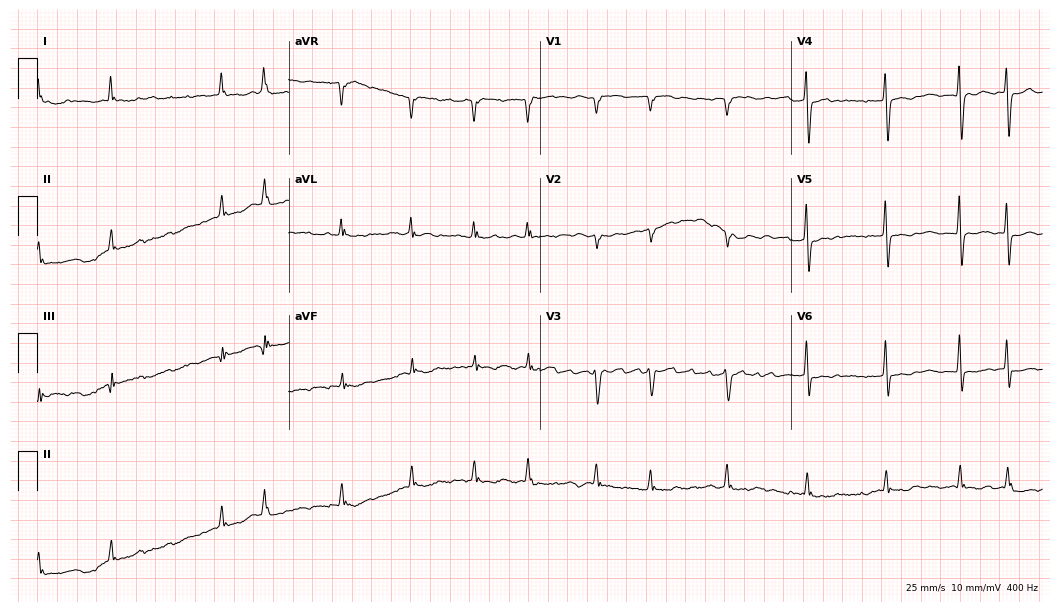
Standard 12-lead ECG recorded from a female, 73 years old (10.2-second recording at 400 Hz). The tracing shows atrial fibrillation (AF).